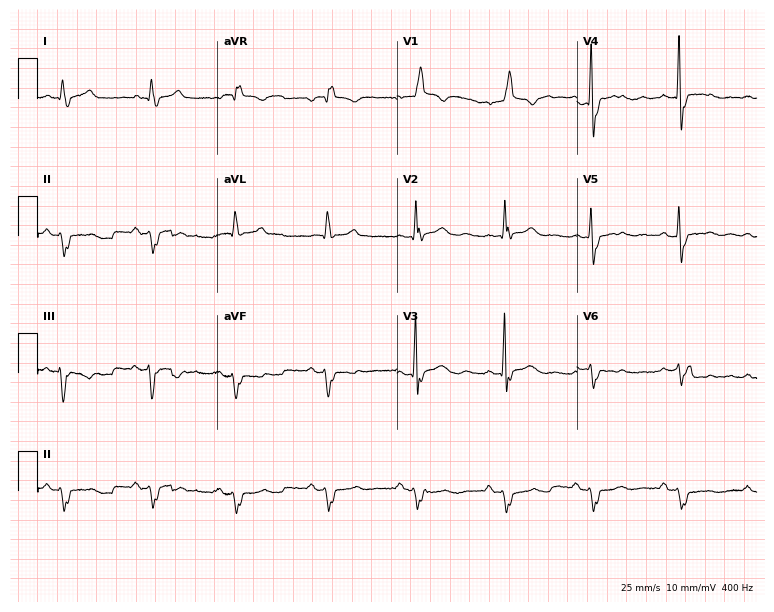
Standard 12-lead ECG recorded from a 56-year-old male patient (7.3-second recording at 400 Hz). The tracing shows right bundle branch block.